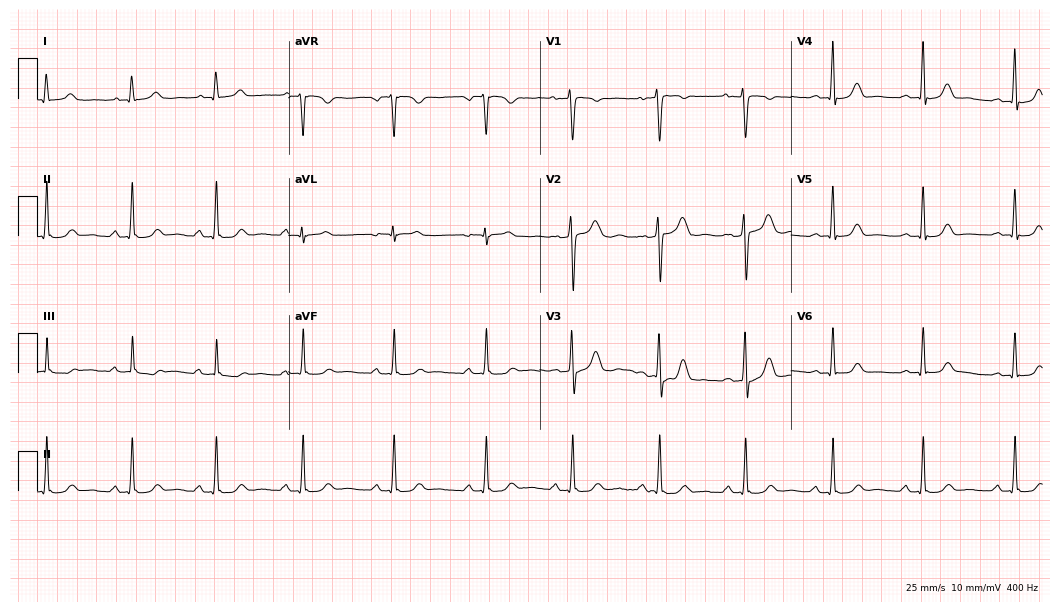
Standard 12-lead ECG recorded from a 22-year-old female patient (10.2-second recording at 400 Hz). Read as a normal ECG.